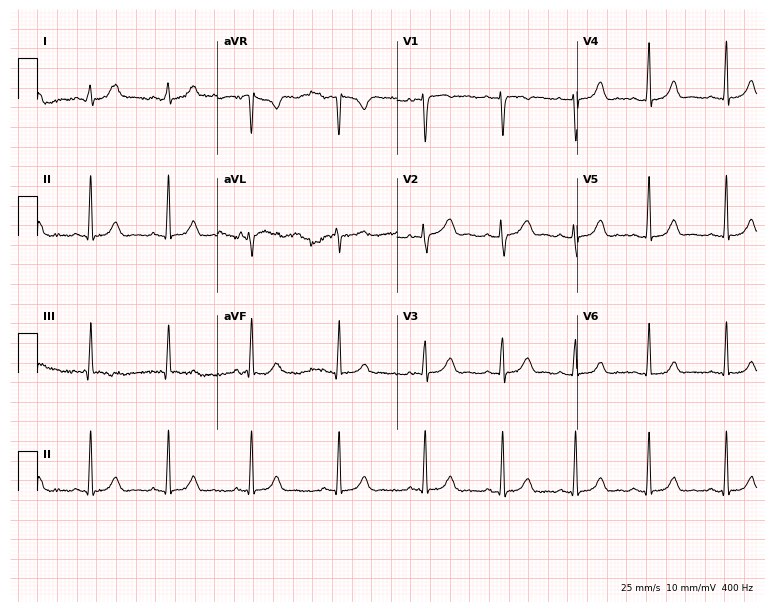
ECG (7.3-second recording at 400 Hz) — a female, 39 years old. Labelled as a normal ECG.